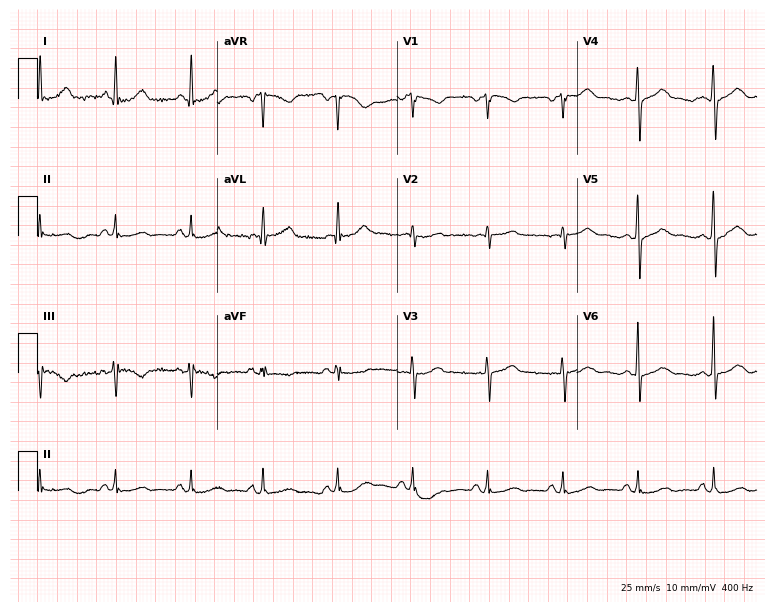
Resting 12-lead electrocardiogram (7.3-second recording at 400 Hz). Patient: a 61-year-old female. None of these six findings is recorded: first-degree AV block, right bundle branch block, left bundle branch block, sinus bradycardia, atrial fibrillation, sinus tachycardia. Findings outside these six are not listed.